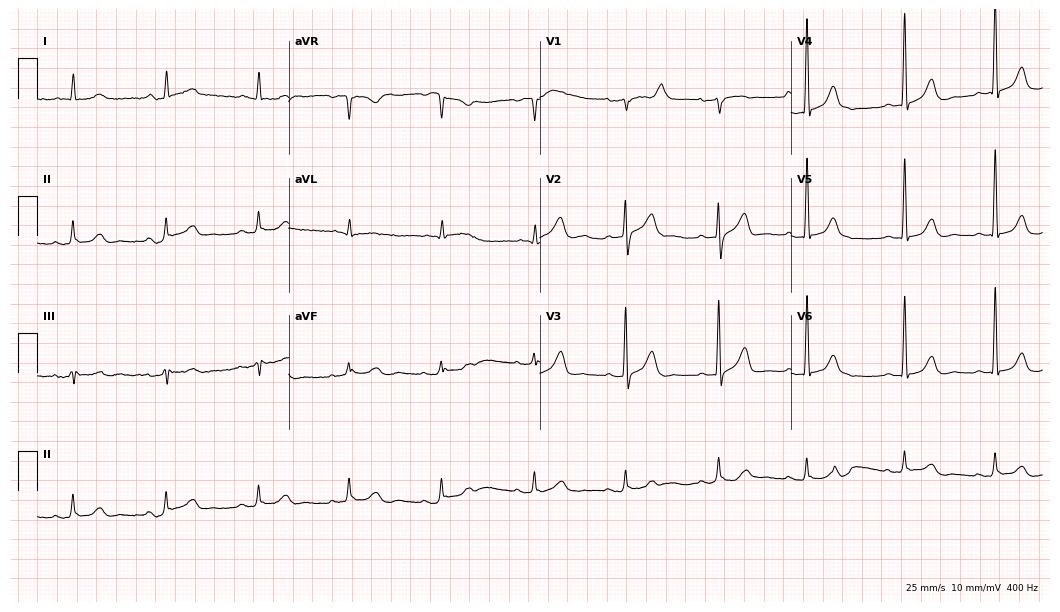
ECG (10.2-second recording at 400 Hz) — a male patient, 77 years old. Screened for six findings — first-degree AV block, right bundle branch block (RBBB), left bundle branch block (LBBB), sinus bradycardia, atrial fibrillation (AF), sinus tachycardia — none is recorded.